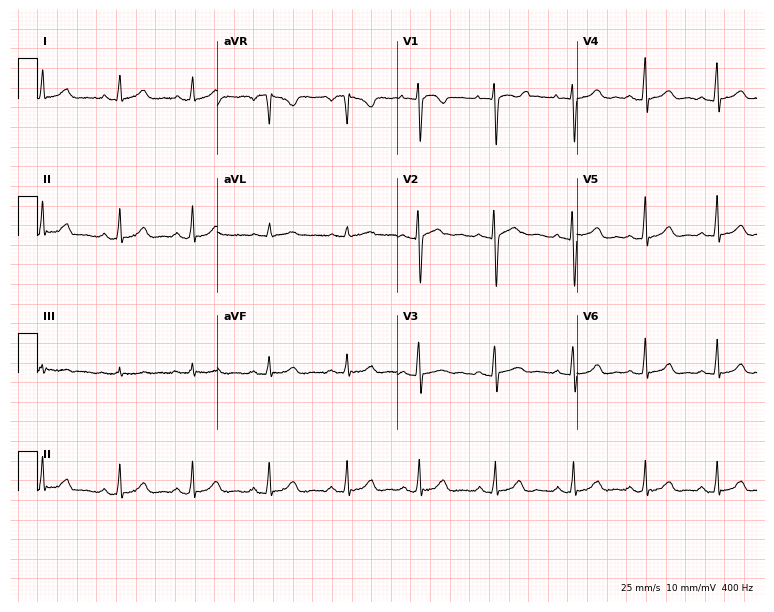
ECG (7.3-second recording at 400 Hz) — a woman, 20 years old. Labelled as a normal ECG.